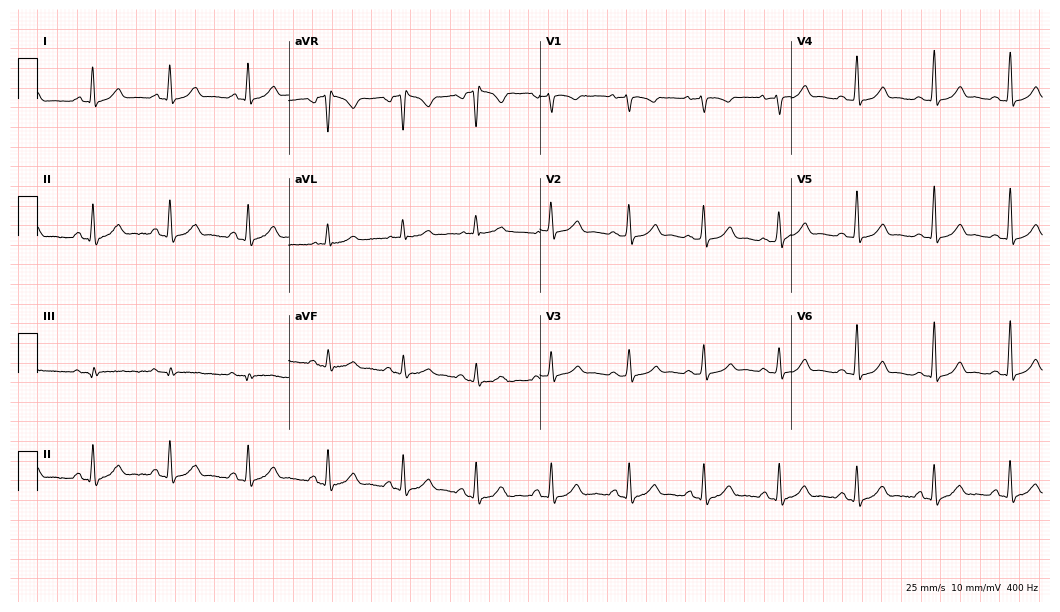
ECG (10.2-second recording at 400 Hz) — a 32-year-old female patient. Labelled as a normal ECG.